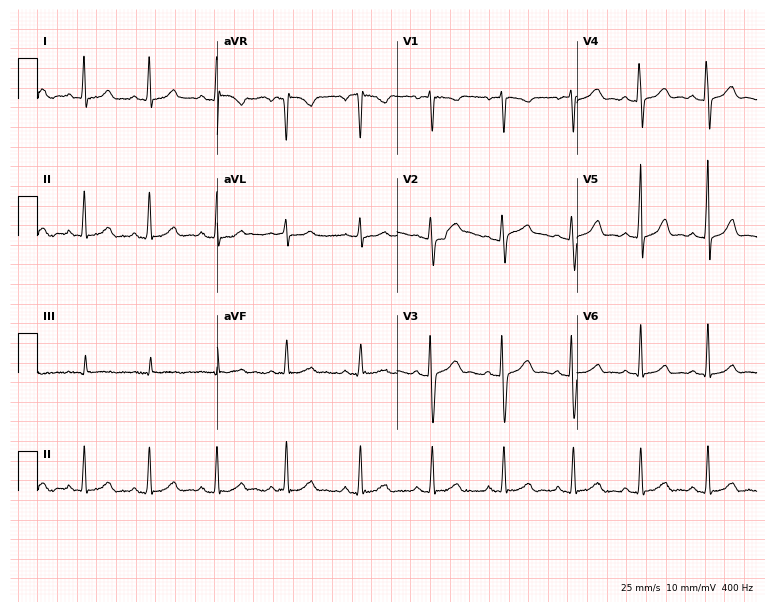
Resting 12-lead electrocardiogram (7.3-second recording at 400 Hz). Patient: a female, 21 years old. Read as a normal ECG.